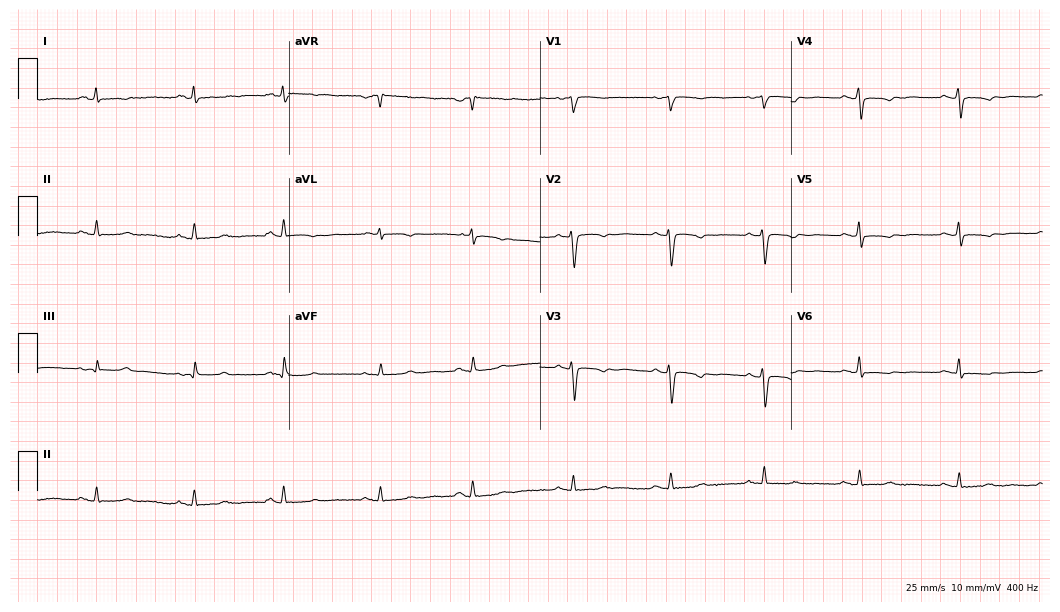
Standard 12-lead ECG recorded from a 64-year-old female patient. None of these six findings is recorded: first-degree AV block, right bundle branch block, left bundle branch block, sinus bradycardia, atrial fibrillation, sinus tachycardia.